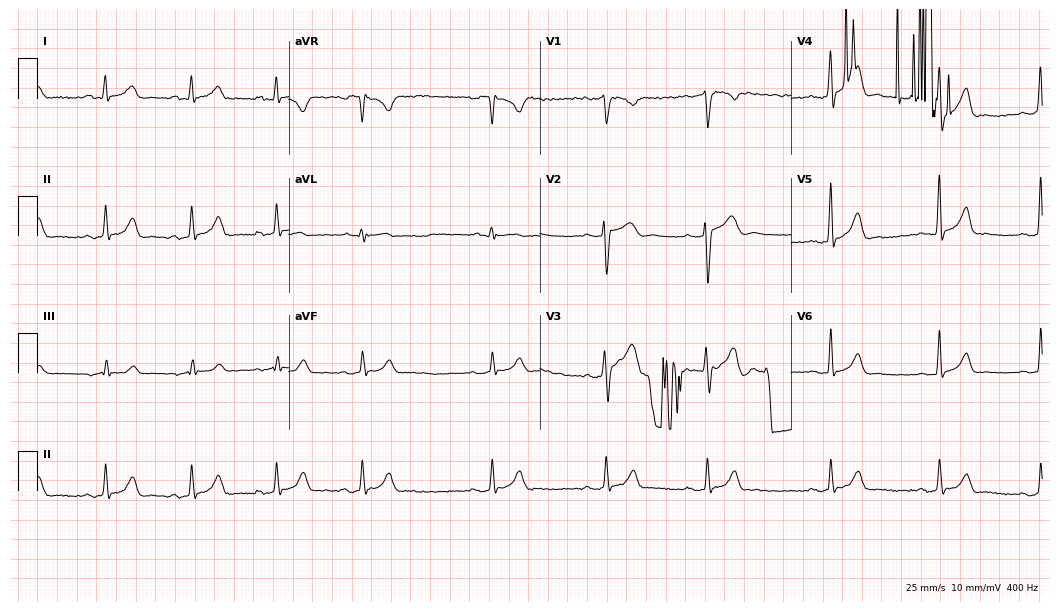
Standard 12-lead ECG recorded from a 23-year-old man (10.2-second recording at 400 Hz). None of these six findings is recorded: first-degree AV block, right bundle branch block (RBBB), left bundle branch block (LBBB), sinus bradycardia, atrial fibrillation (AF), sinus tachycardia. Findings outside these six are not listed.